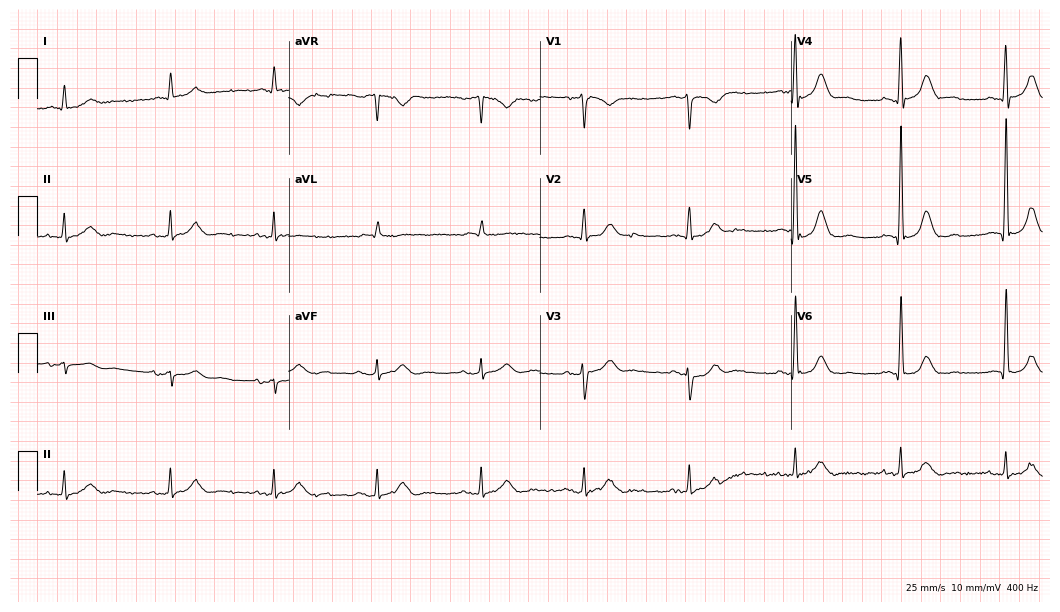
ECG (10.2-second recording at 400 Hz) — an 83-year-old male. Labelled as a normal ECG.